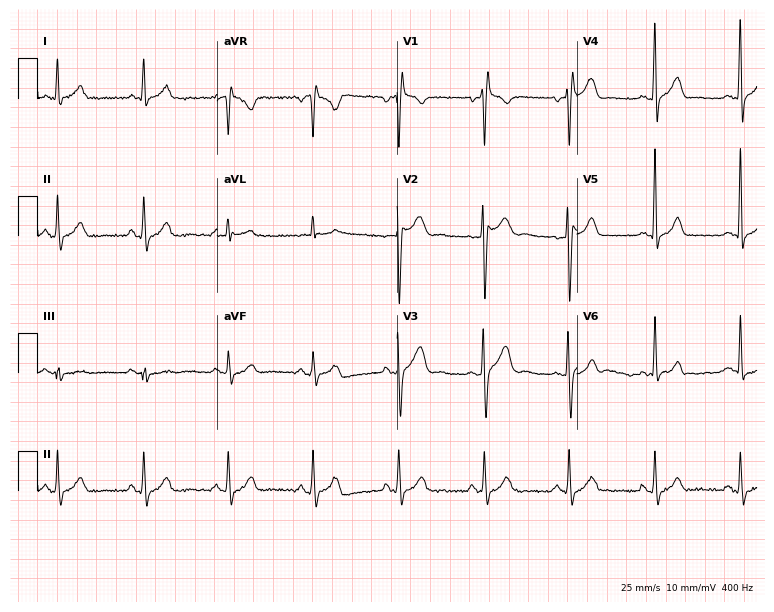
Electrocardiogram, a male patient, 31 years old. Of the six screened findings (first-degree AV block, right bundle branch block, left bundle branch block, sinus bradycardia, atrial fibrillation, sinus tachycardia), none is recorded.